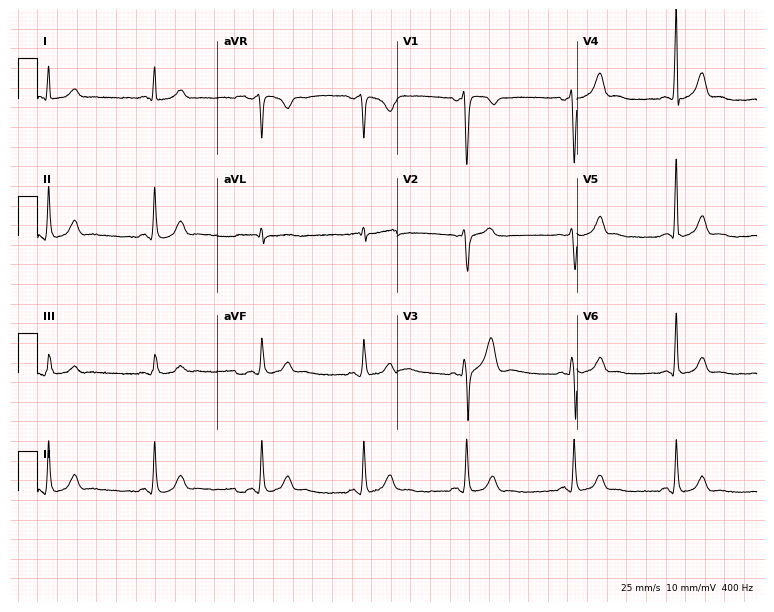
ECG — a male patient, 38 years old. Labelled as a normal ECG.